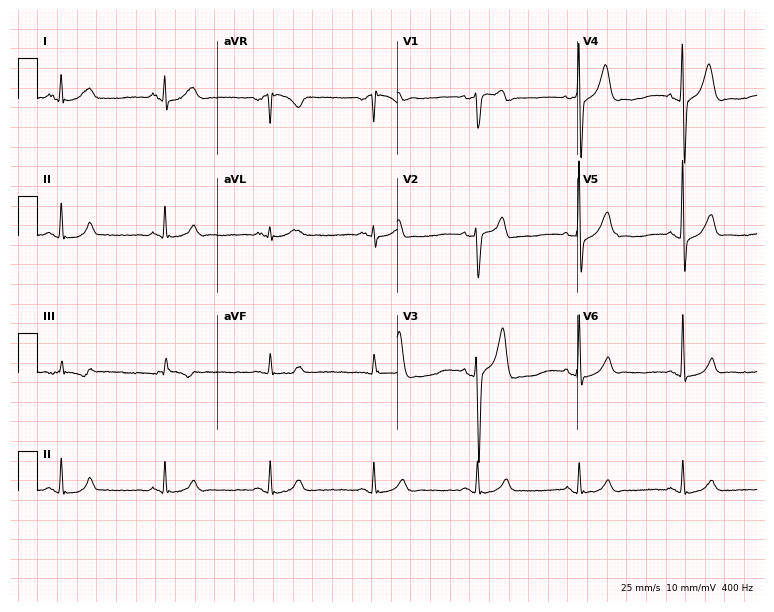
Standard 12-lead ECG recorded from a man, 46 years old (7.3-second recording at 400 Hz). Read as a normal ECG.